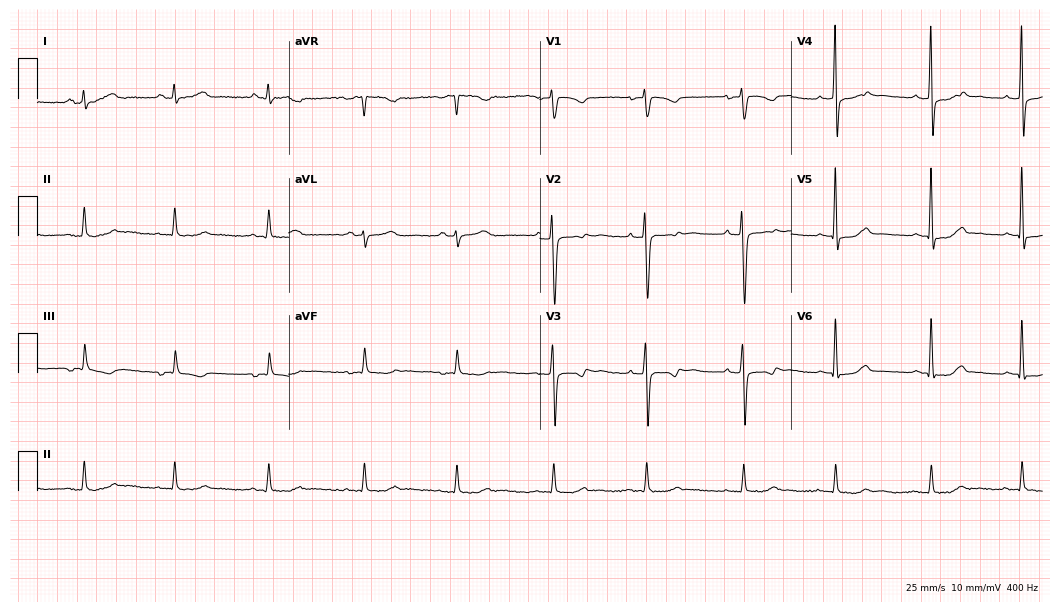
12-lead ECG from a woman, 41 years old. Screened for six findings — first-degree AV block, right bundle branch block (RBBB), left bundle branch block (LBBB), sinus bradycardia, atrial fibrillation (AF), sinus tachycardia — none is recorded.